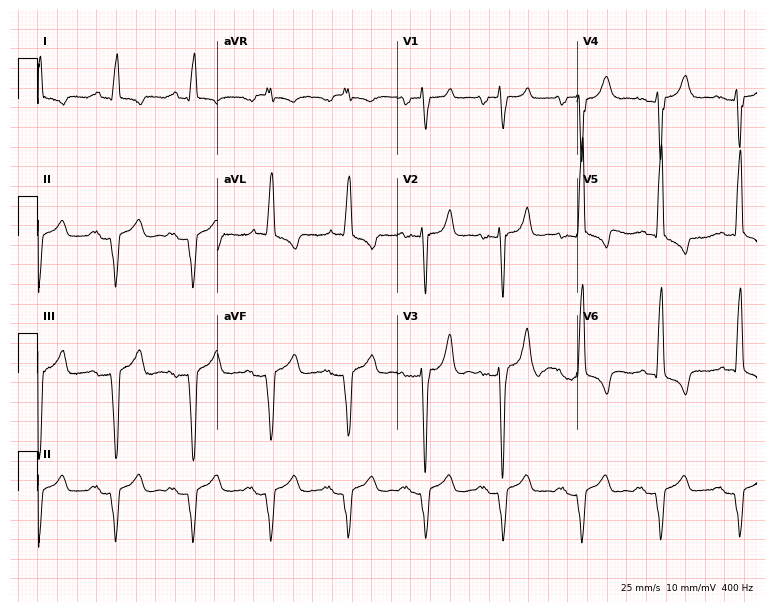
Electrocardiogram (7.3-second recording at 400 Hz), a 52-year-old male. Of the six screened findings (first-degree AV block, right bundle branch block, left bundle branch block, sinus bradycardia, atrial fibrillation, sinus tachycardia), none is recorded. Findings outside these six are not listed.